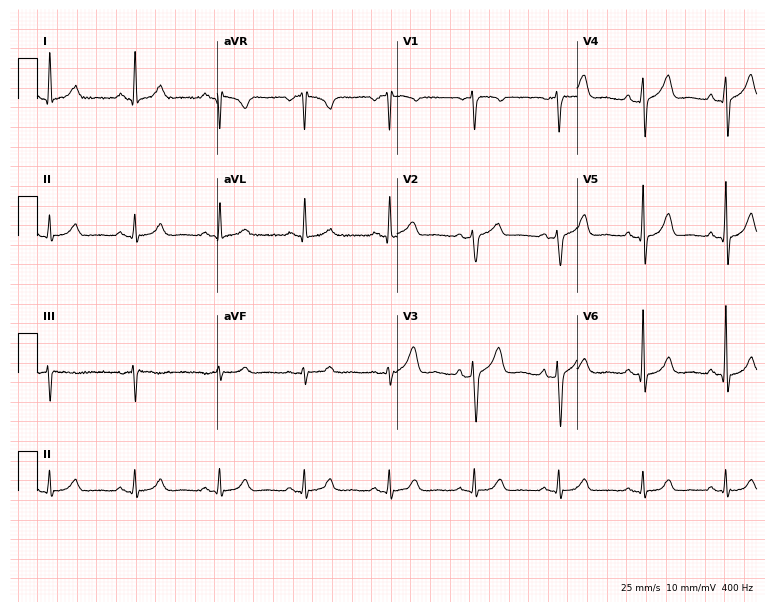
Electrocardiogram (7.3-second recording at 400 Hz), a 61-year-old male. Of the six screened findings (first-degree AV block, right bundle branch block, left bundle branch block, sinus bradycardia, atrial fibrillation, sinus tachycardia), none is recorded. Only these six findings were labelled.